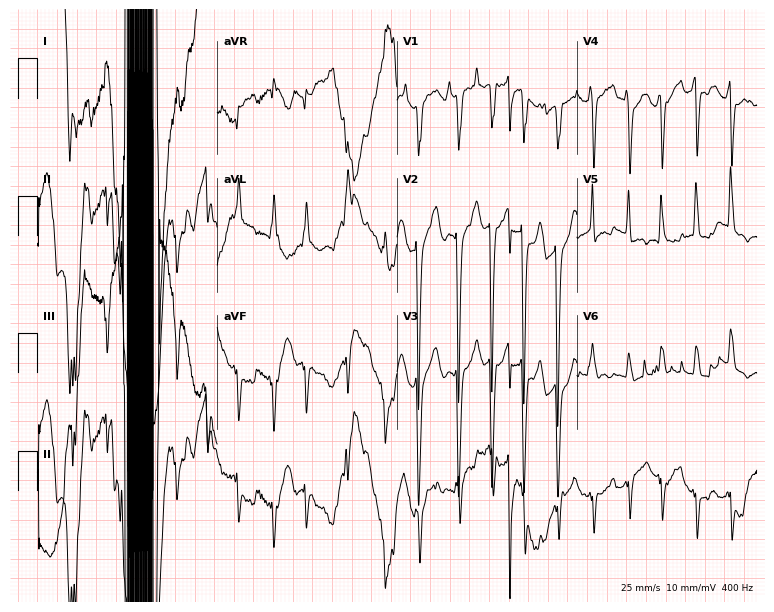
Electrocardiogram (7.3-second recording at 400 Hz), a man, 79 years old. Of the six screened findings (first-degree AV block, right bundle branch block (RBBB), left bundle branch block (LBBB), sinus bradycardia, atrial fibrillation (AF), sinus tachycardia), none is recorded.